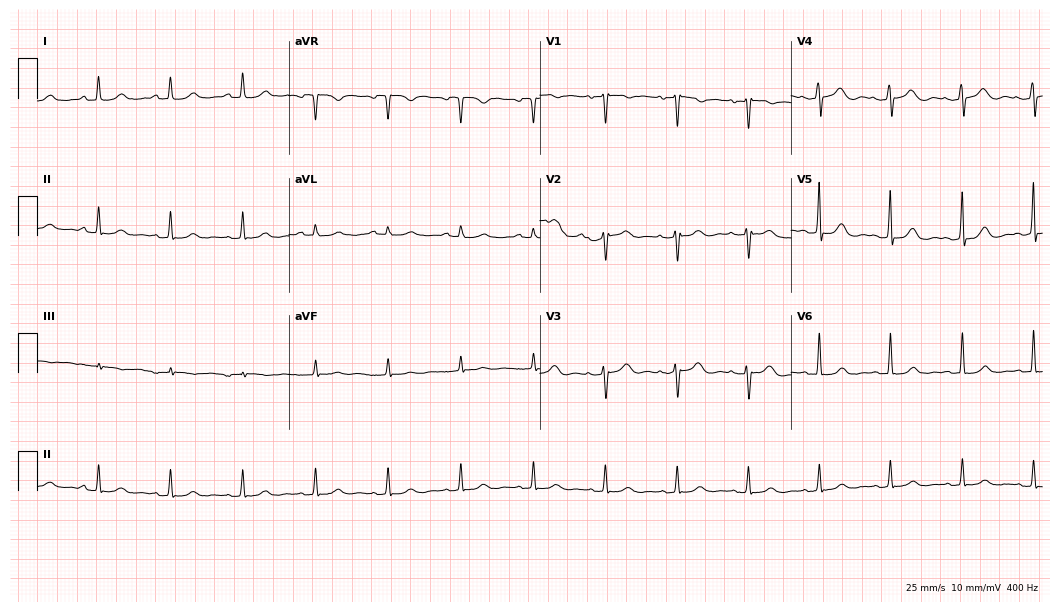
12-lead ECG from a female, 47 years old. Recorded interpretation: within normal limits.